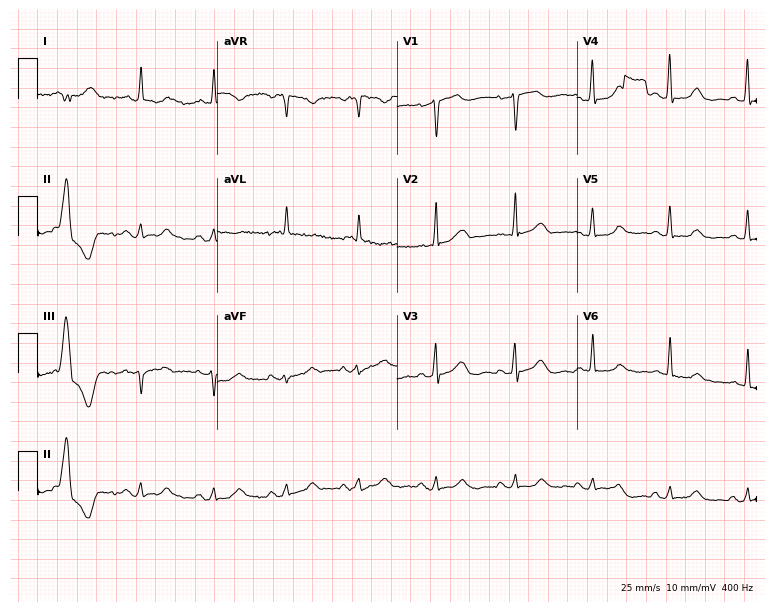
12-lead ECG from a 76-year-old woman (7.3-second recording at 400 Hz). No first-degree AV block, right bundle branch block, left bundle branch block, sinus bradycardia, atrial fibrillation or sinus tachycardia recorded for this tracing. Findings outside these six are not listed.